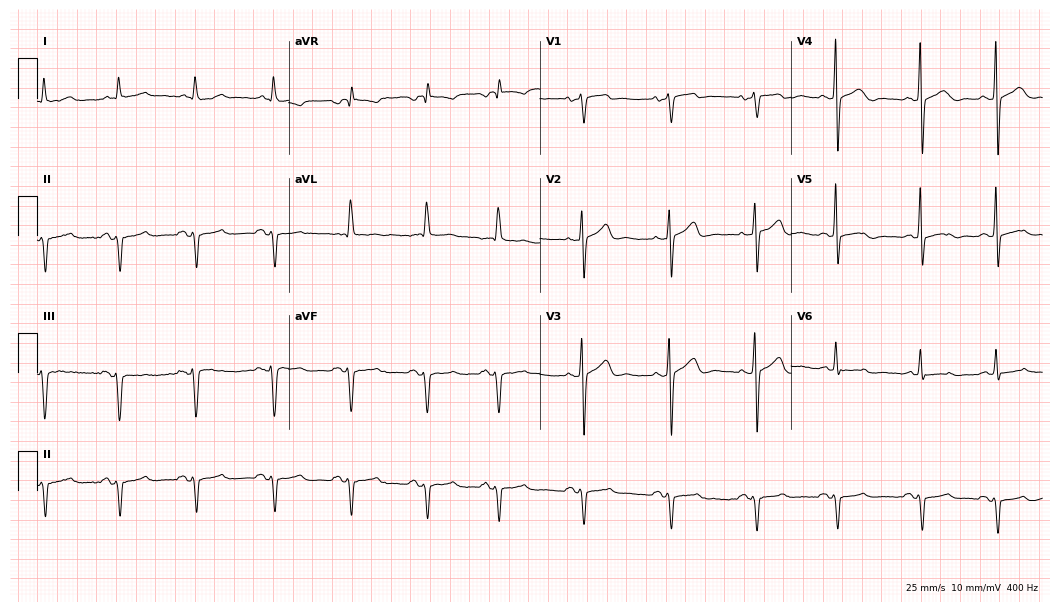
Electrocardiogram, a 68-year-old male patient. Of the six screened findings (first-degree AV block, right bundle branch block (RBBB), left bundle branch block (LBBB), sinus bradycardia, atrial fibrillation (AF), sinus tachycardia), none is recorded. Other findings, if any, are not listed.